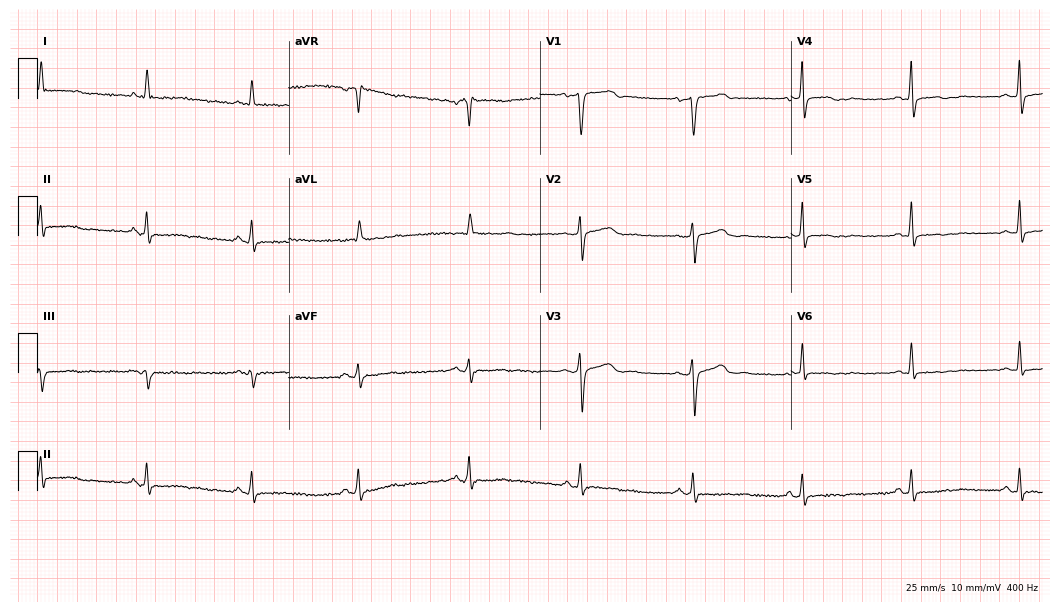
Electrocardiogram (10.2-second recording at 400 Hz), a woman, 63 years old. Of the six screened findings (first-degree AV block, right bundle branch block, left bundle branch block, sinus bradycardia, atrial fibrillation, sinus tachycardia), none is recorded. Other findings, if any, are not listed.